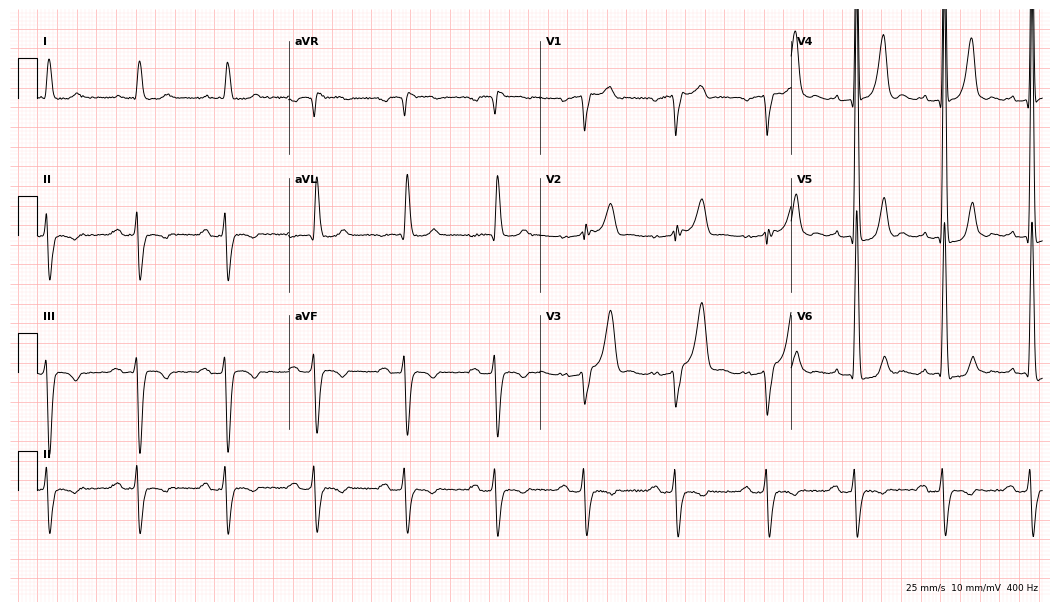
Electrocardiogram (10.2-second recording at 400 Hz), a 68-year-old man. Interpretation includes first-degree AV block, right bundle branch block.